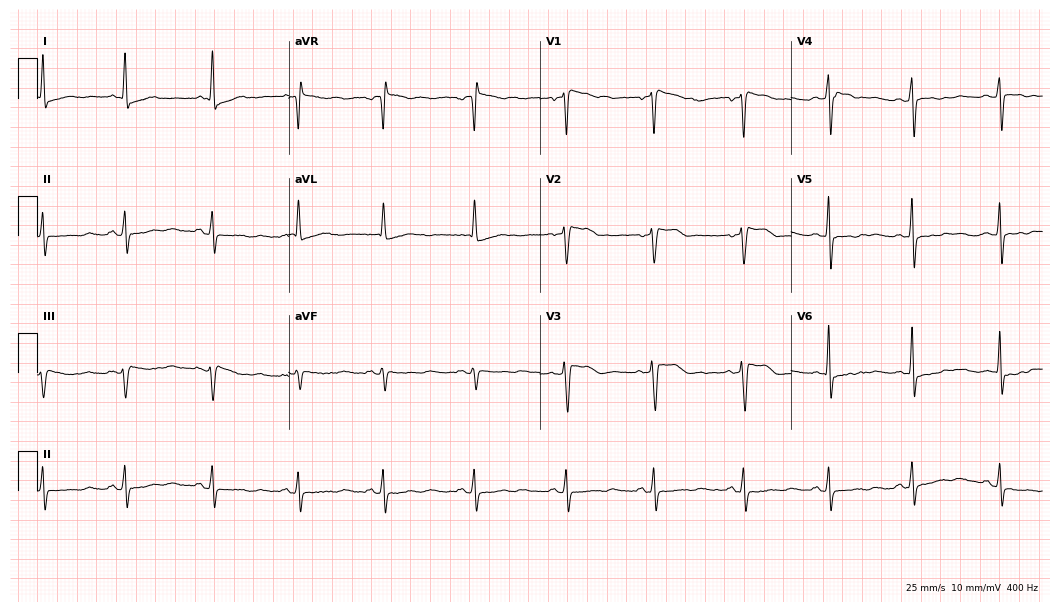
12-lead ECG from a female patient, 39 years old (10.2-second recording at 400 Hz). No first-degree AV block, right bundle branch block, left bundle branch block, sinus bradycardia, atrial fibrillation or sinus tachycardia recorded for this tracing. Other findings, if any, are not listed.